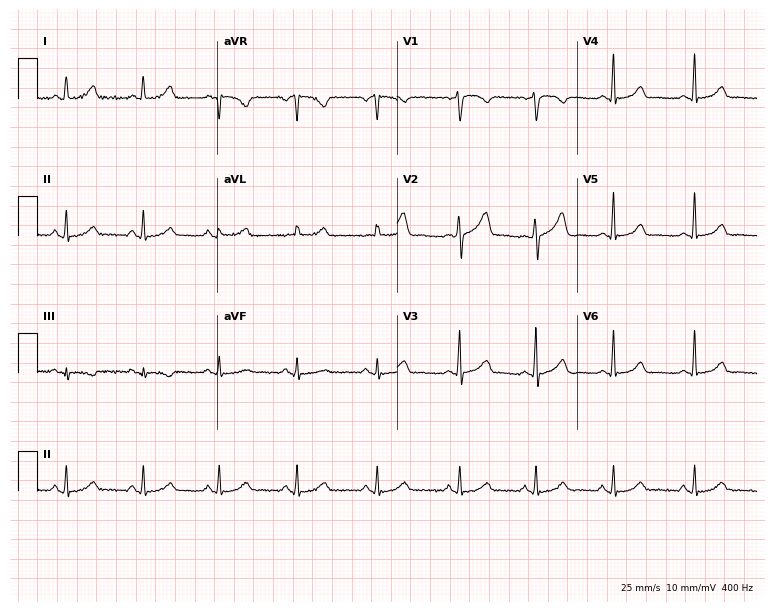
Standard 12-lead ECG recorded from a female, 33 years old (7.3-second recording at 400 Hz). Read as a normal ECG.